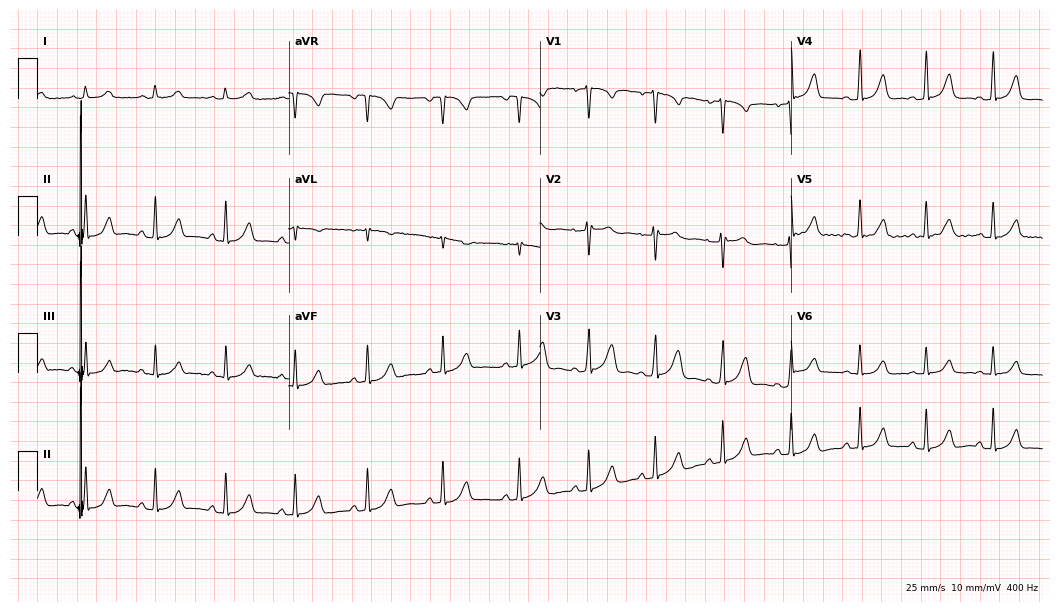
Resting 12-lead electrocardiogram. Patient: a female, 27 years old. Read as a normal ECG.